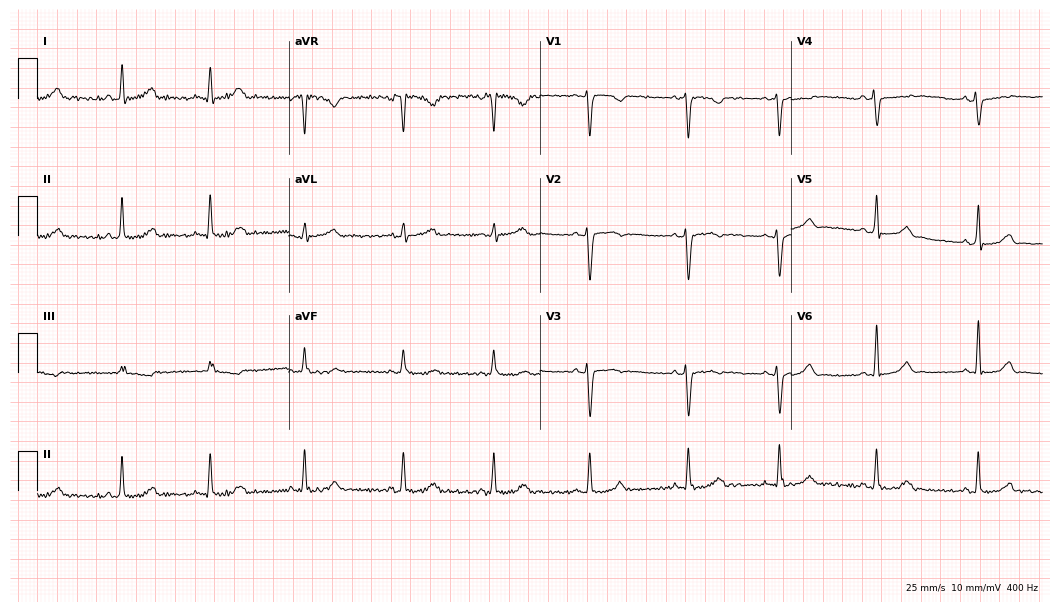
Resting 12-lead electrocardiogram (10.2-second recording at 400 Hz). Patient: a 37-year-old female. Read as a normal ECG.